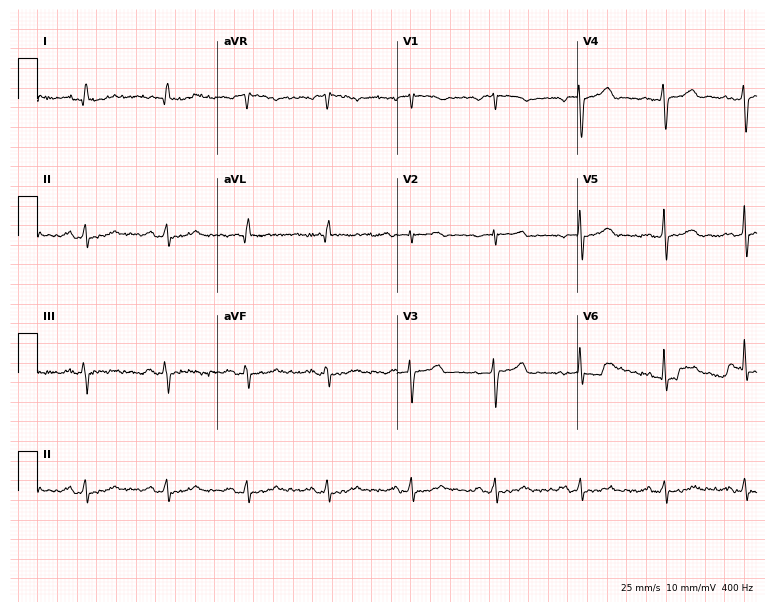
12-lead ECG from a woman, 77 years old (7.3-second recording at 400 Hz). No first-degree AV block, right bundle branch block, left bundle branch block, sinus bradycardia, atrial fibrillation or sinus tachycardia recorded for this tracing.